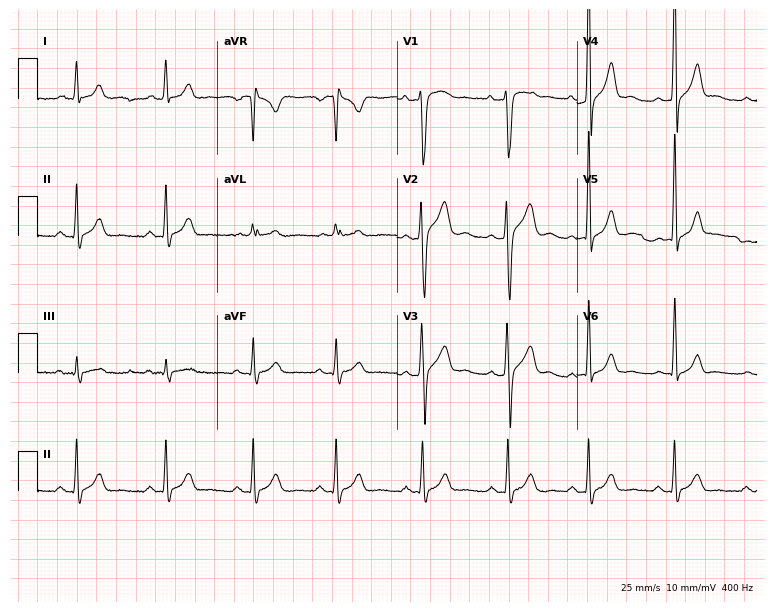
Standard 12-lead ECG recorded from a man, 33 years old. Read as a normal ECG.